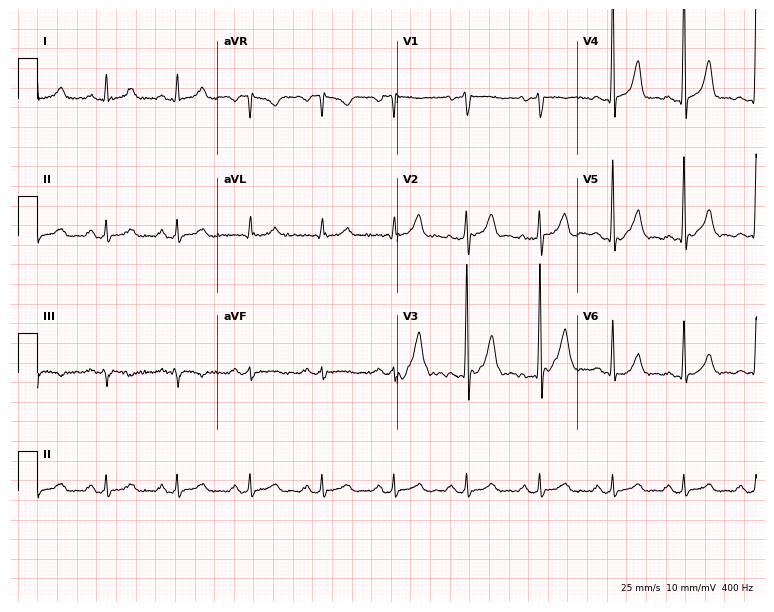
Electrocardiogram (7.3-second recording at 400 Hz), a 45-year-old male patient. Of the six screened findings (first-degree AV block, right bundle branch block, left bundle branch block, sinus bradycardia, atrial fibrillation, sinus tachycardia), none is recorded.